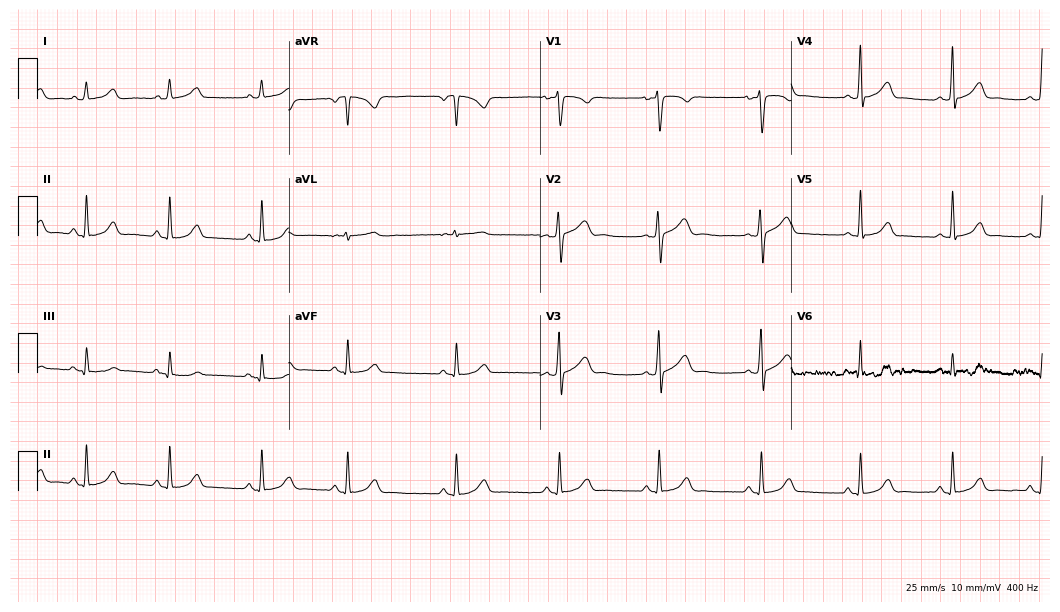
12-lead ECG from a 31-year-old female. Labelled as a normal ECG.